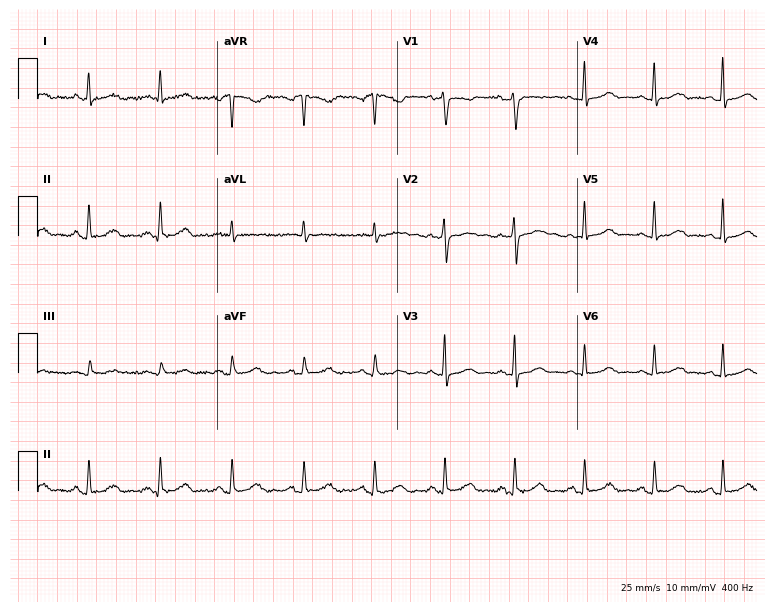
Electrocardiogram (7.3-second recording at 400 Hz), a woman, 59 years old. Overall reading on record: normal ECG.